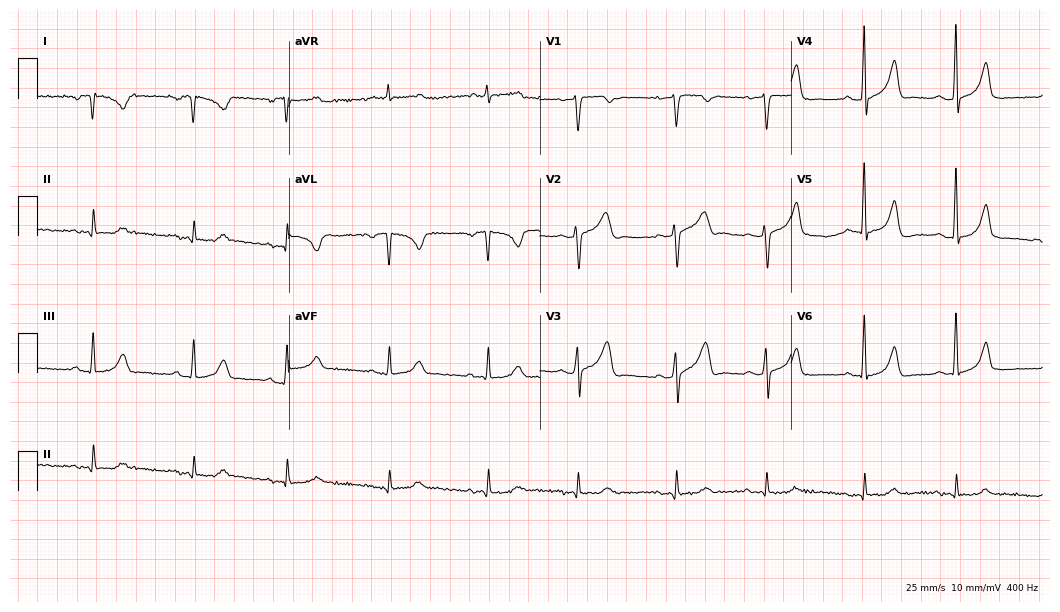
Electrocardiogram (10.2-second recording at 400 Hz), a 51-year-old woman. Of the six screened findings (first-degree AV block, right bundle branch block, left bundle branch block, sinus bradycardia, atrial fibrillation, sinus tachycardia), none is recorded.